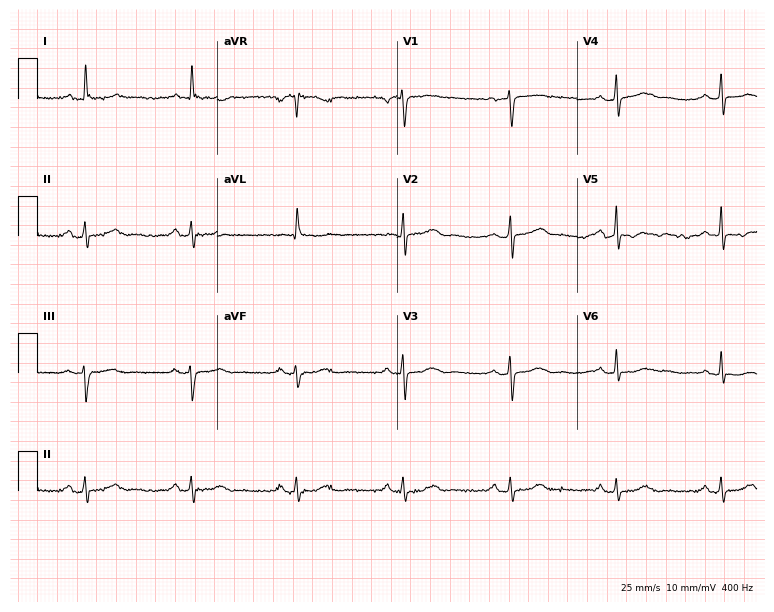
Resting 12-lead electrocardiogram (7.3-second recording at 400 Hz). Patient: a woman, 64 years old. None of these six findings is recorded: first-degree AV block, right bundle branch block, left bundle branch block, sinus bradycardia, atrial fibrillation, sinus tachycardia.